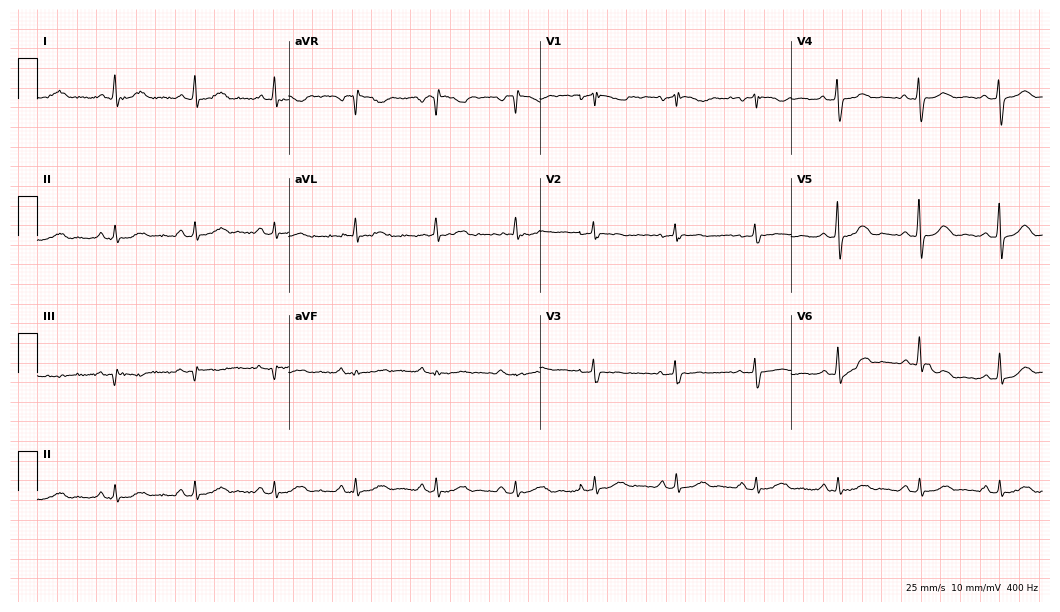
ECG (10.2-second recording at 400 Hz) — a 72-year-old female patient. Labelled as a normal ECG.